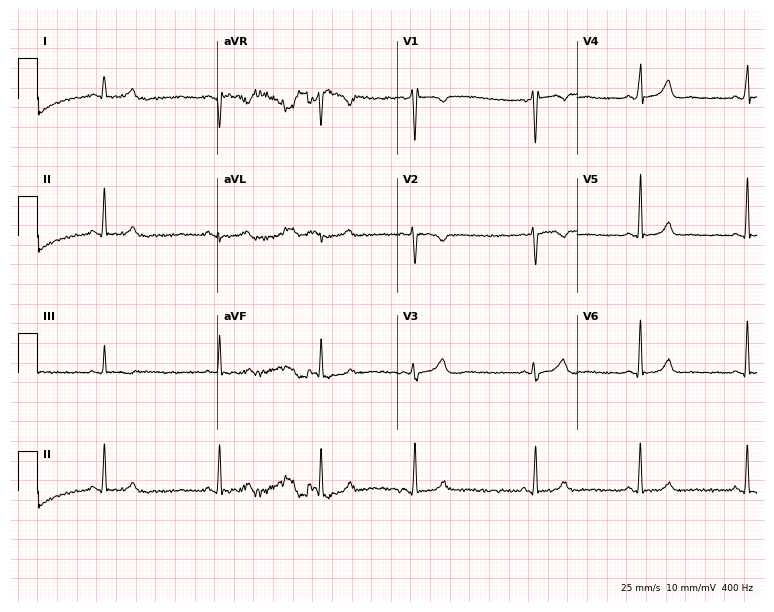
12-lead ECG from a 23-year-old female. Labelled as a normal ECG.